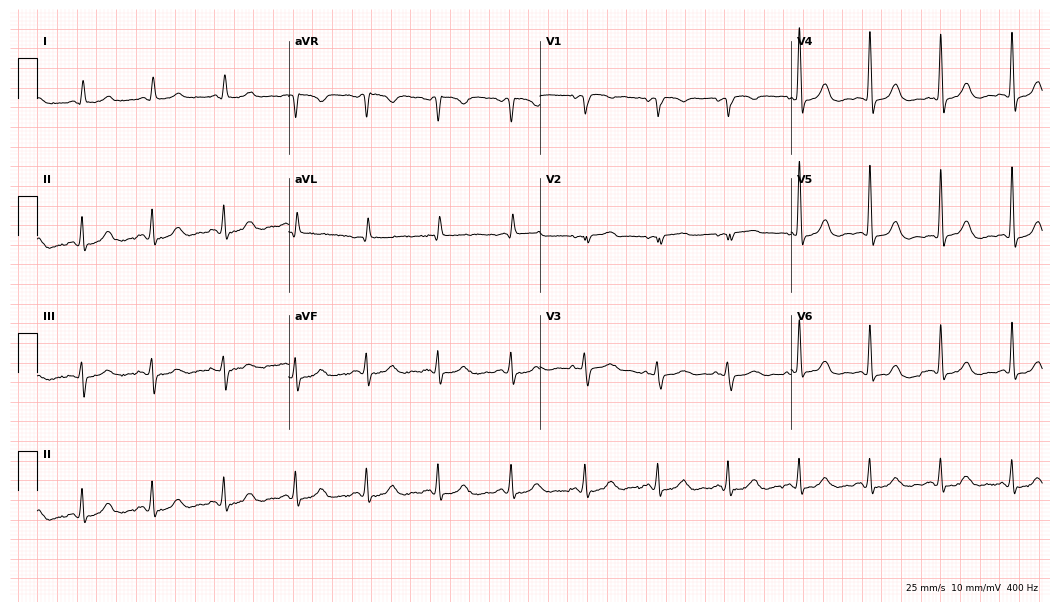
12-lead ECG from a female, 82 years old (10.2-second recording at 400 Hz). No first-degree AV block, right bundle branch block, left bundle branch block, sinus bradycardia, atrial fibrillation or sinus tachycardia recorded for this tracing. Only these six findings were labelled.